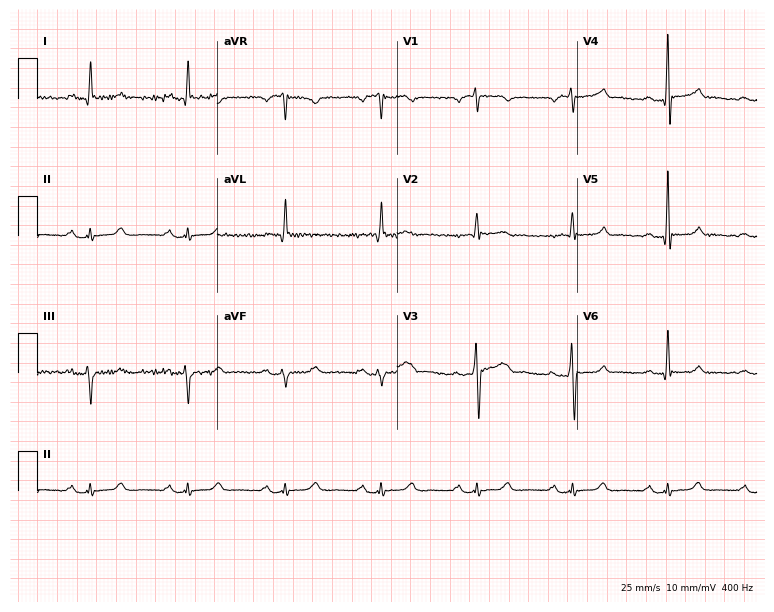
Standard 12-lead ECG recorded from a male, 56 years old (7.3-second recording at 400 Hz). Read as a normal ECG.